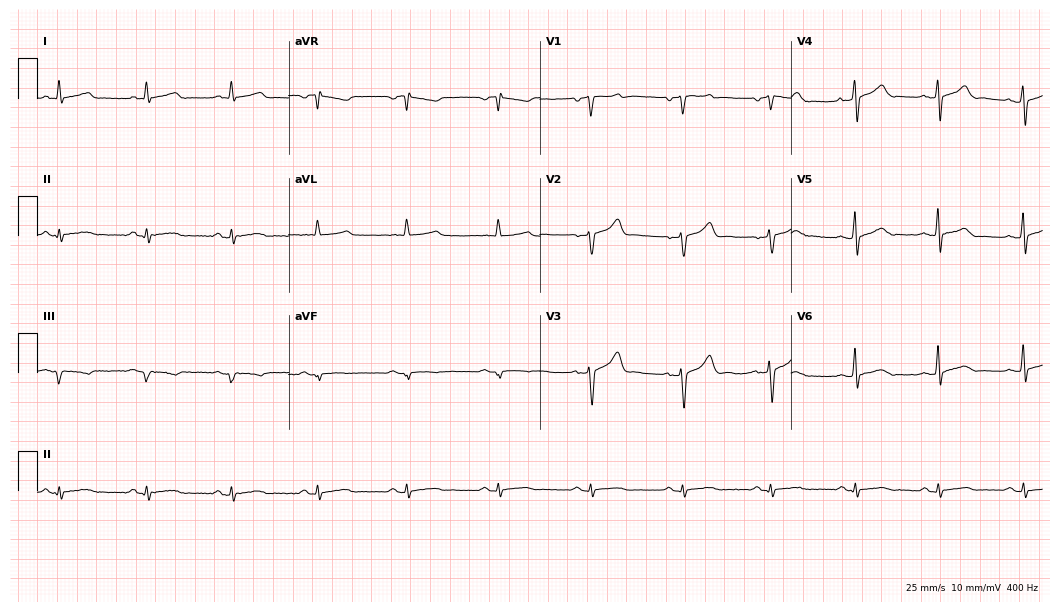
Standard 12-lead ECG recorded from a 43-year-old male (10.2-second recording at 400 Hz). Read as a normal ECG.